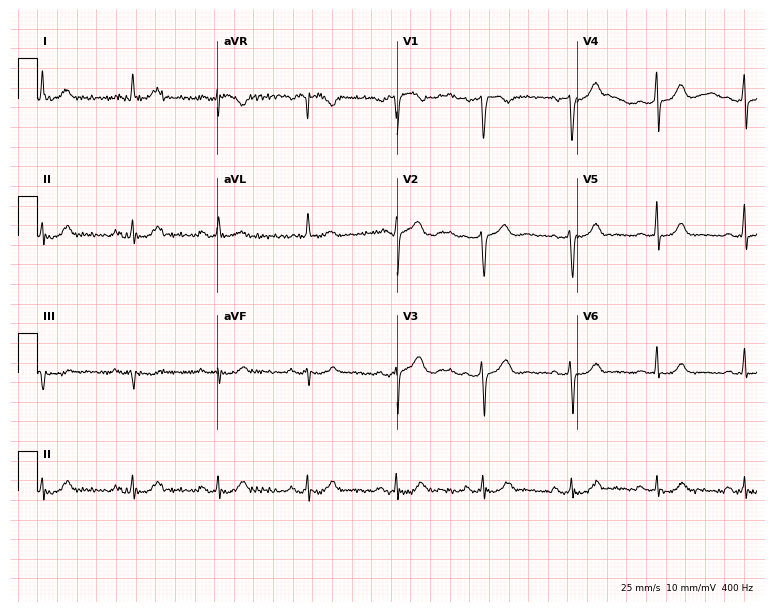
12-lead ECG from a 59-year-old man (7.3-second recording at 400 Hz). Recorded interpretation: within normal limits.